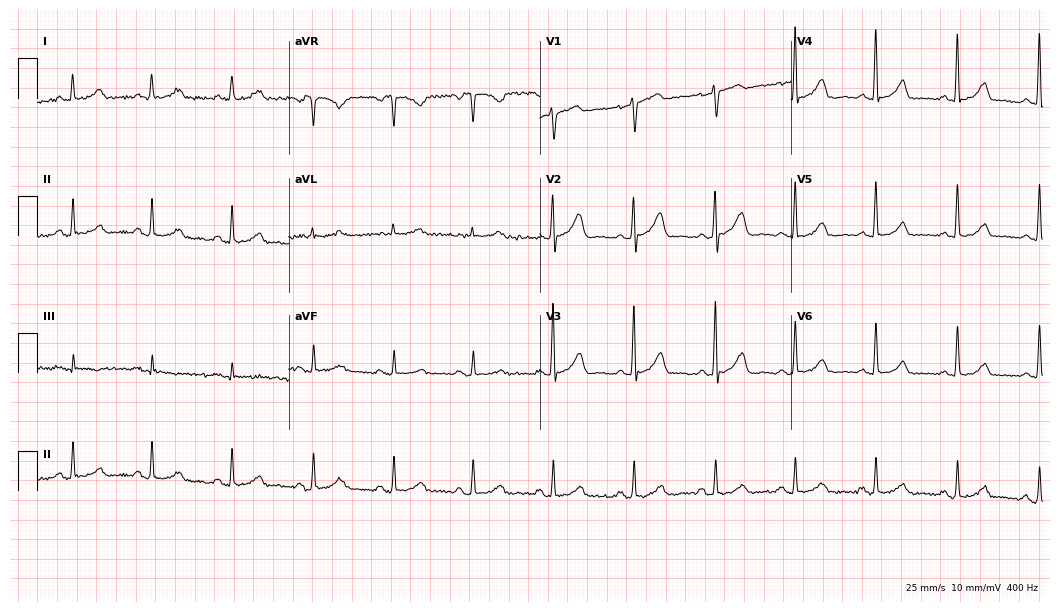
Electrocardiogram, a woman, 56 years old. Overall reading on record: normal ECG.